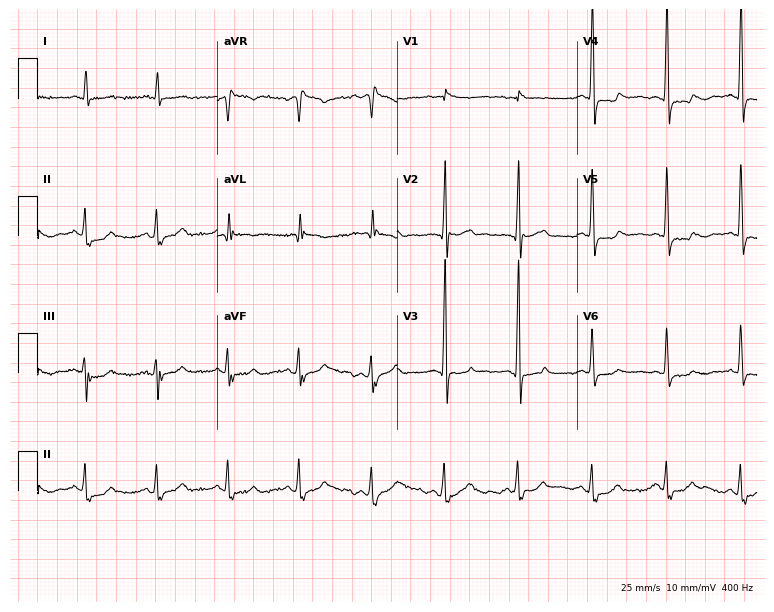
Resting 12-lead electrocardiogram (7.3-second recording at 400 Hz). Patient: a male, 61 years old. None of these six findings is recorded: first-degree AV block, right bundle branch block (RBBB), left bundle branch block (LBBB), sinus bradycardia, atrial fibrillation (AF), sinus tachycardia. Only these six findings were labelled.